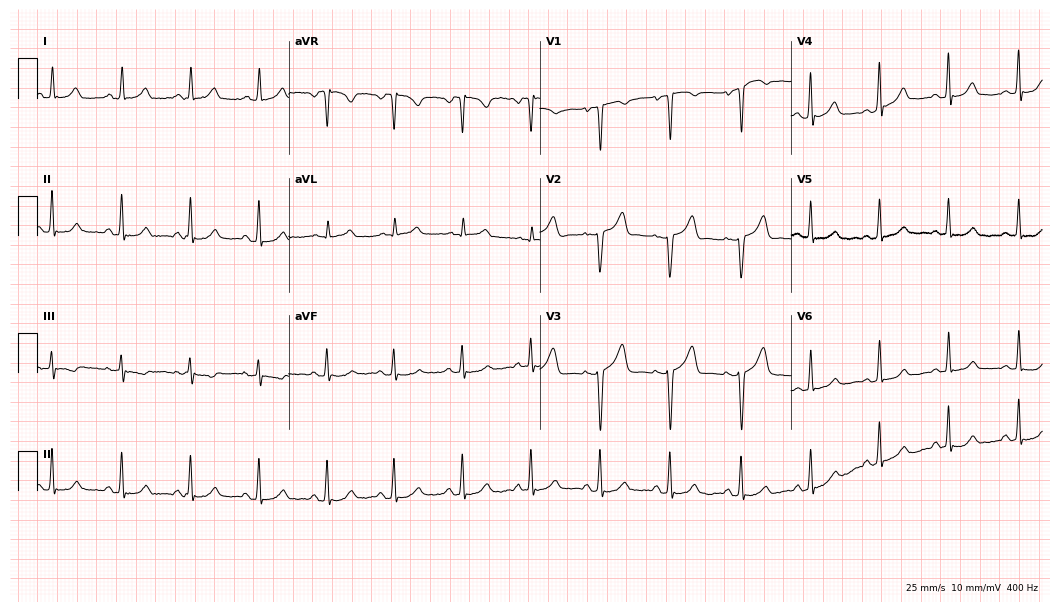
12-lead ECG (10.2-second recording at 400 Hz) from a female patient, 37 years old. Screened for six findings — first-degree AV block, right bundle branch block (RBBB), left bundle branch block (LBBB), sinus bradycardia, atrial fibrillation (AF), sinus tachycardia — none is recorded. Other findings, if any, are not listed.